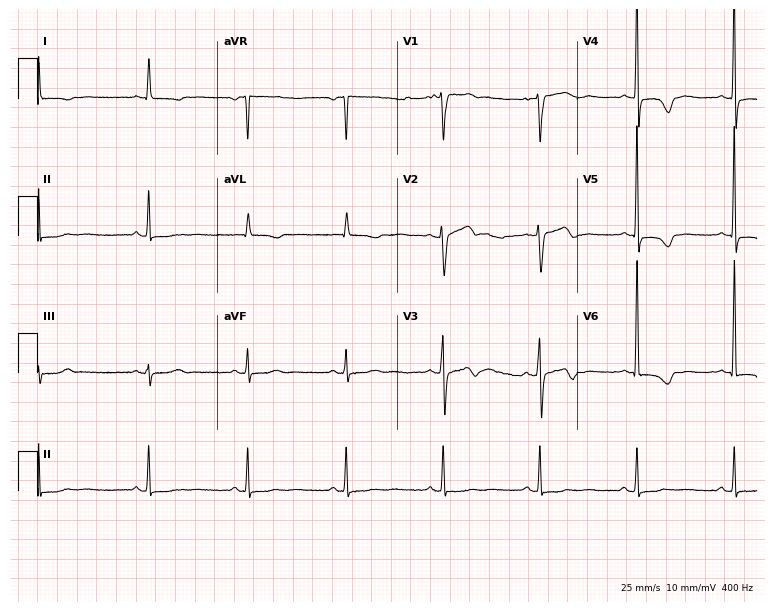
12-lead ECG from a woman, 80 years old (7.3-second recording at 400 Hz). No first-degree AV block, right bundle branch block, left bundle branch block, sinus bradycardia, atrial fibrillation or sinus tachycardia recorded for this tracing.